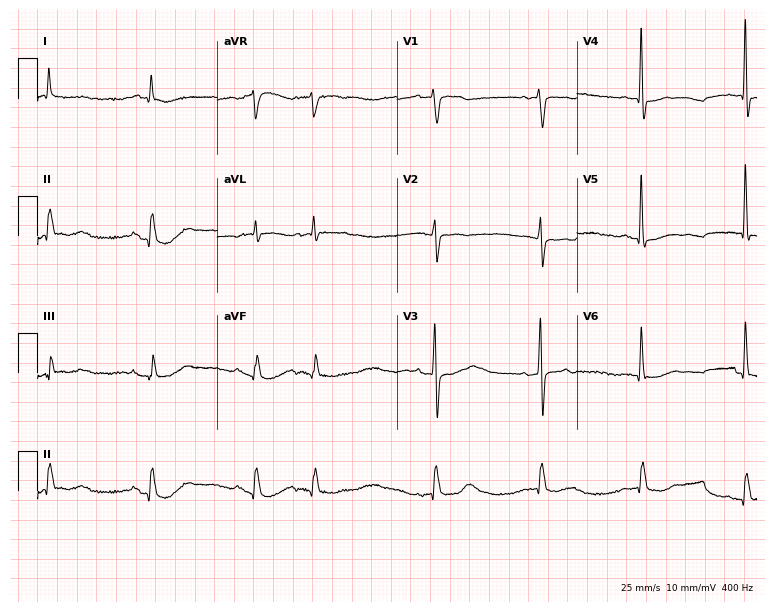
12-lead ECG from an 80-year-old male. Screened for six findings — first-degree AV block, right bundle branch block, left bundle branch block, sinus bradycardia, atrial fibrillation, sinus tachycardia — none is recorded. Other findings, if any, are not listed.